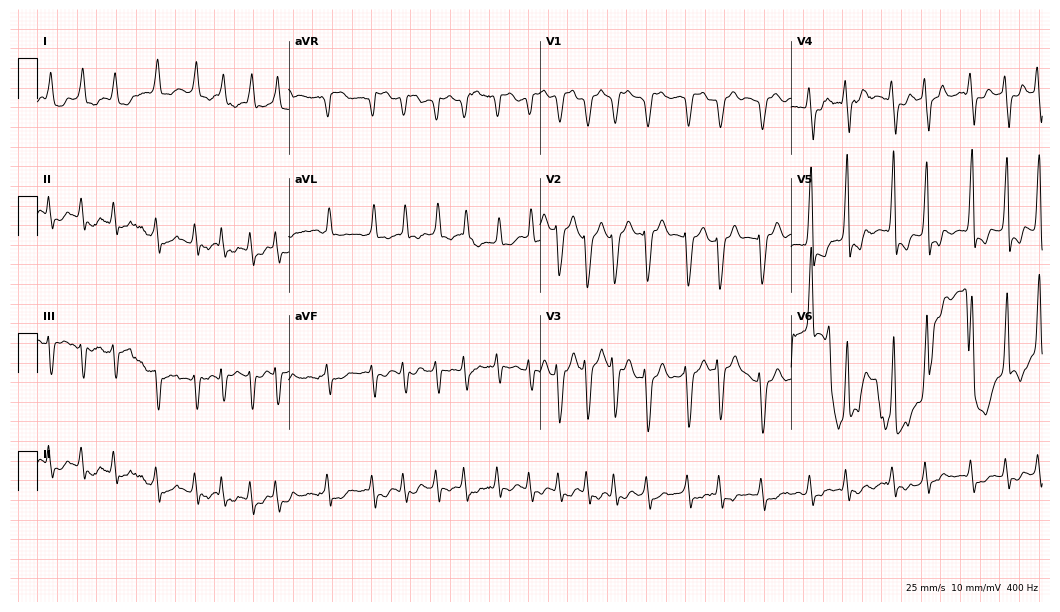
Resting 12-lead electrocardiogram (10.2-second recording at 400 Hz). Patient: a woman, 79 years old. The tracing shows atrial fibrillation.